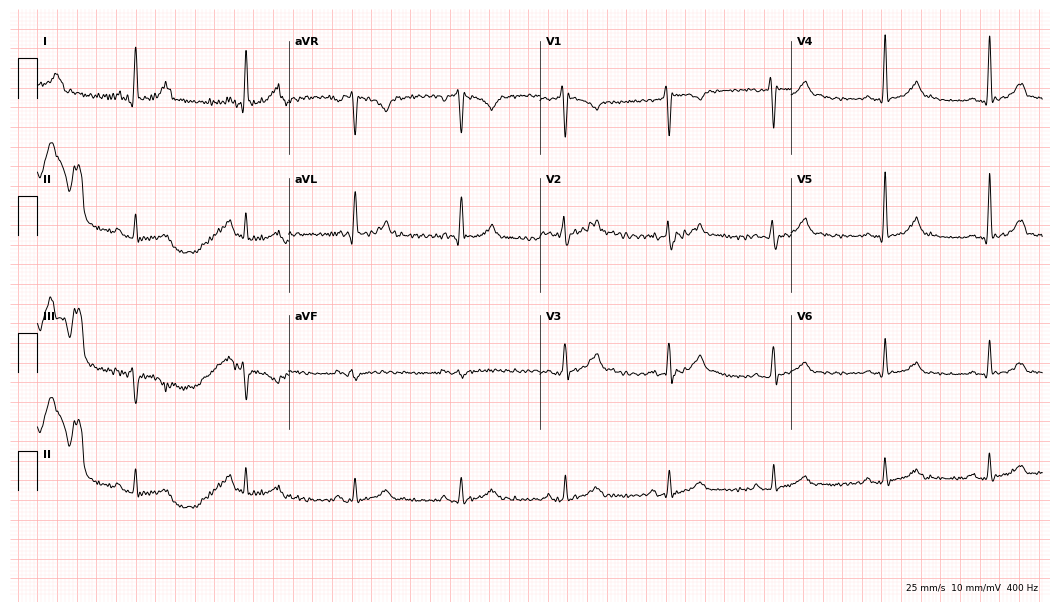
Electrocardiogram, a female patient, 31 years old. Of the six screened findings (first-degree AV block, right bundle branch block, left bundle branch block, sinus bradycardia, atrial fibrillation, sinus tachycardia), none is recorded.